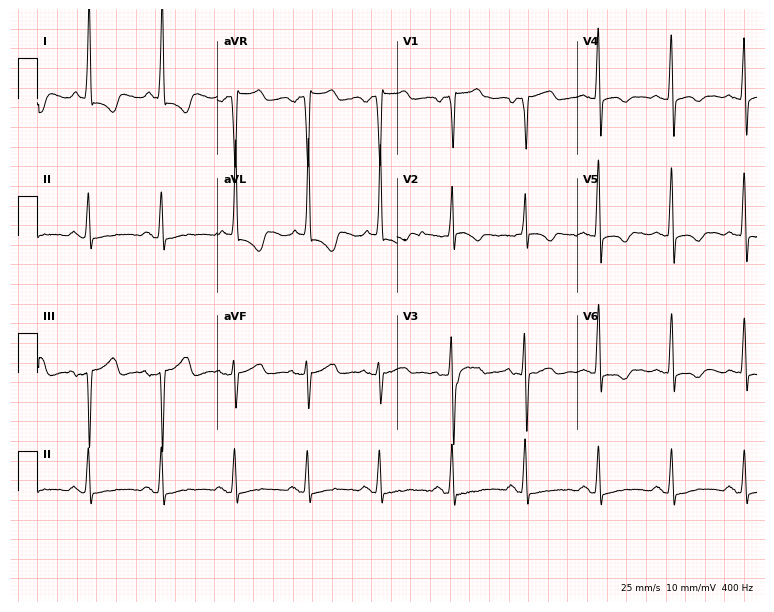
Standard 12-lead ECG recorded from a male patient, 63 years old (7.3-second recording at 400 Hz). None of these six findings is recorded: first-degree AV block, right bundle branch block, left bundle branch block, sinus bradycardia, atrial fibrillation, sinus tachycardia.